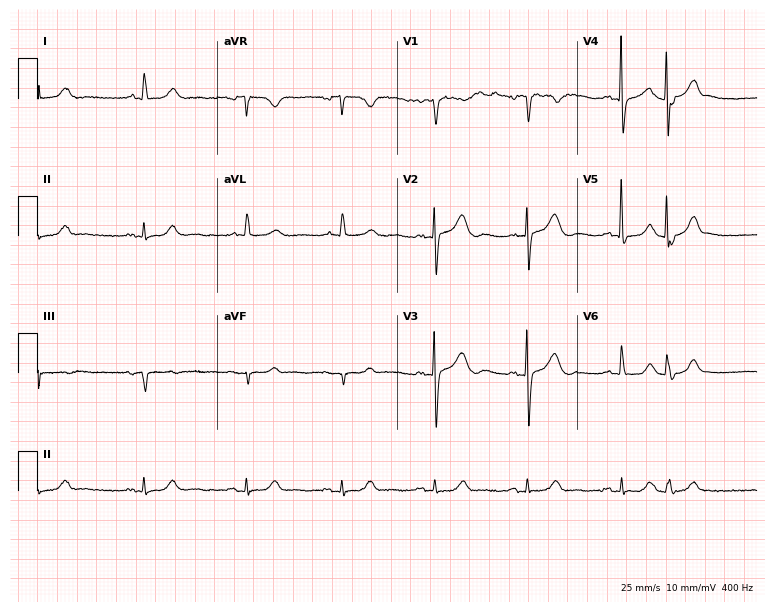
Standard 12-lead ECG recorded from a female, 72 years old (7.3-second recording at 400 Hz). None of these six findings is recorded: first-degree AV block, right bundle branch block (RBBB), left bundle branch block (LBBB), sinus bradycardia, atrial fibrillation (AF), sinus tachycardia. Other findings, if any, are not listed.